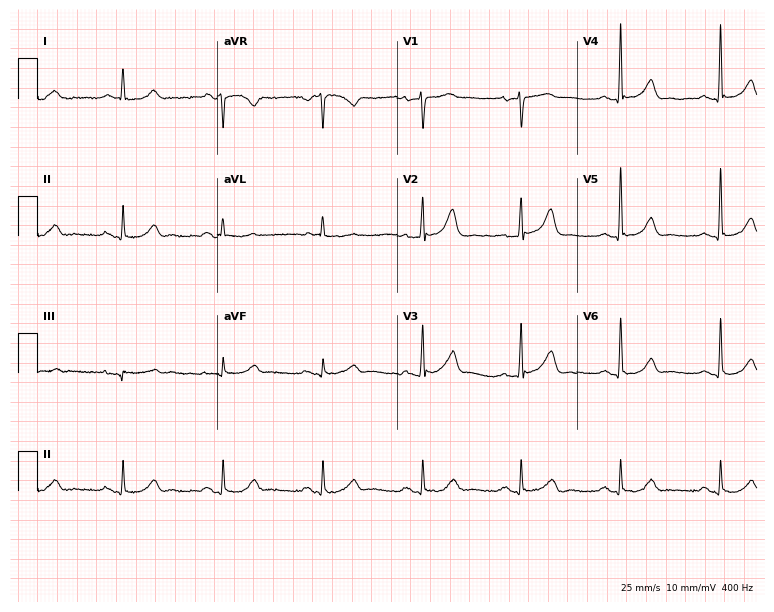
Electrocardiogram, a 53-year-old female. Overall reading on record: normal ECG.